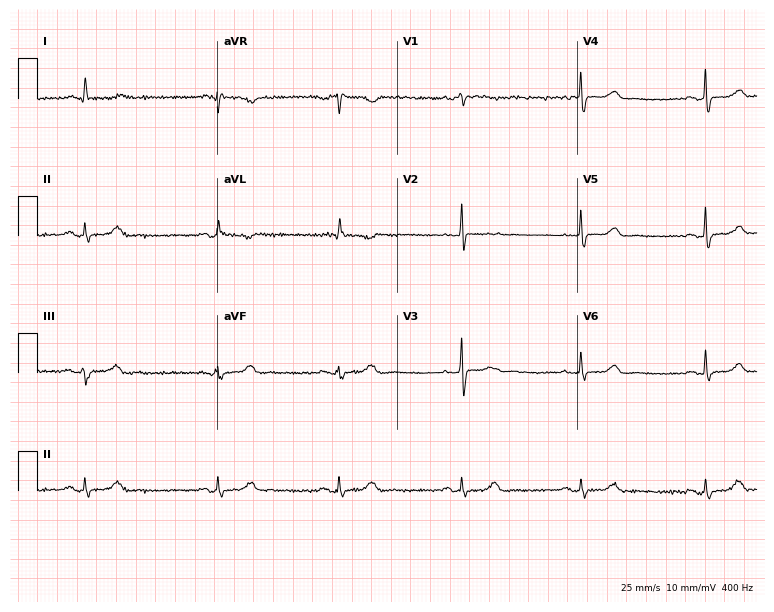
Standard 12-lead ECG recorded from a female, 64 years old. The tracing shows sinus bradycardia (a sinus rate of 50 beats per minute or less).